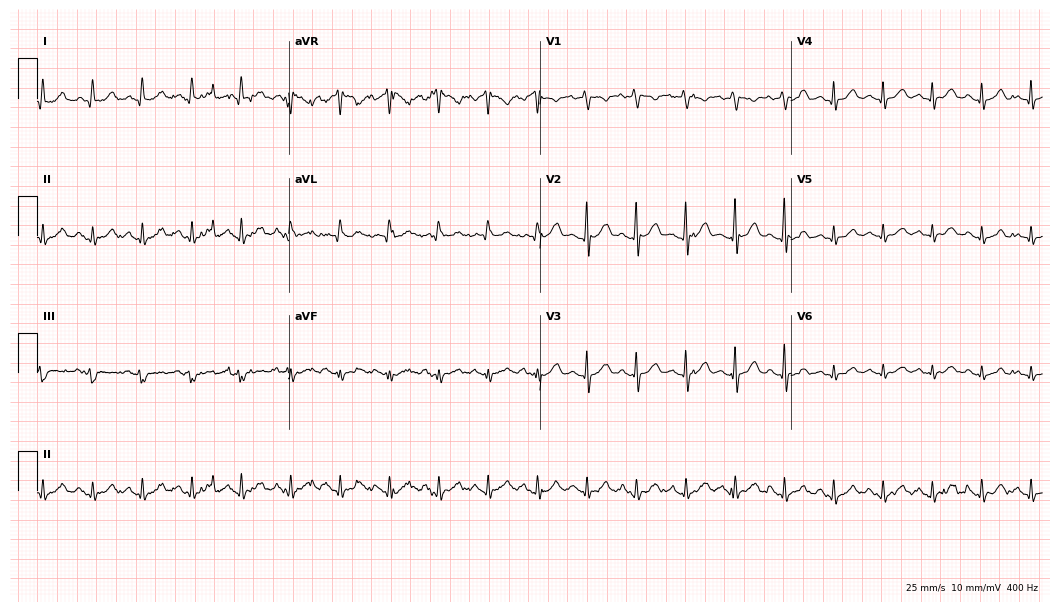
Resting 12-lead electrocardiogram. Patient: a female, 46 years old. The tracing shows sinus tachycardia (a sinus rate of 100 beats per minute or more).